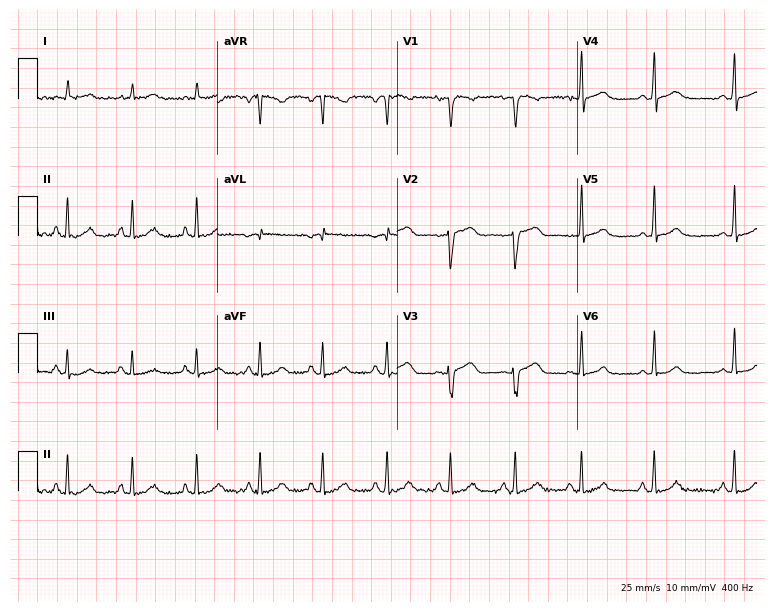
ECG (7.3-second recording at 400 Hz) — a female, 47 years old. Labelled as a normal ECG.